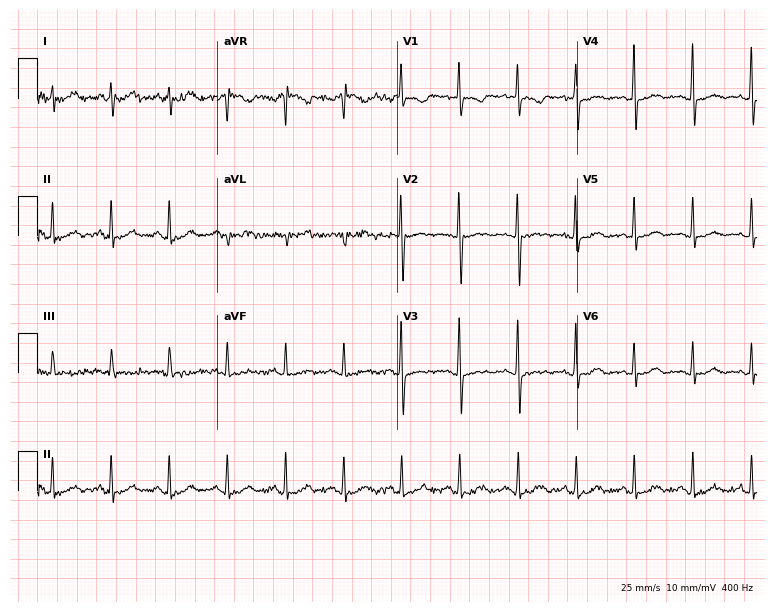
12-lead ECG from a woman, 57 years old (7.3-second recording at 400 Hz). No first-degree AV block, right bundle branch block, left bundle branch block, sinus bradycardia, atrial fibrillation or sinus tachycardia recorded for this tracing.